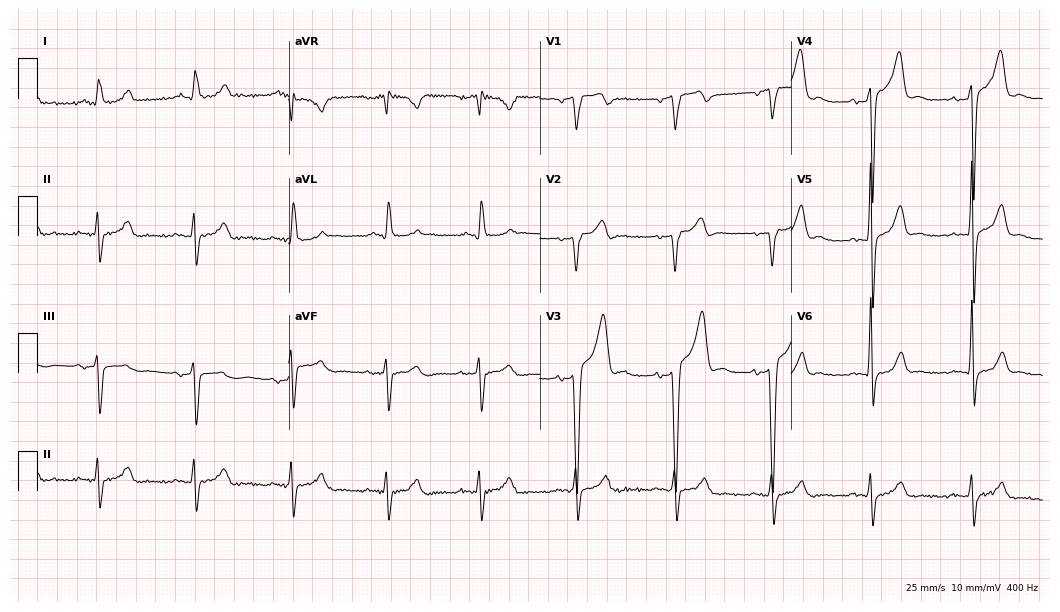
Electrocardiogram (10.2-second recording at 400 Hz), a 42-year-old male. Of the six screened findings (first-degree AV block, right bundle branch block, left bundle branch block, sinus bradycardia, atrial fibrillation, sinus tachycardia), none is recorded.